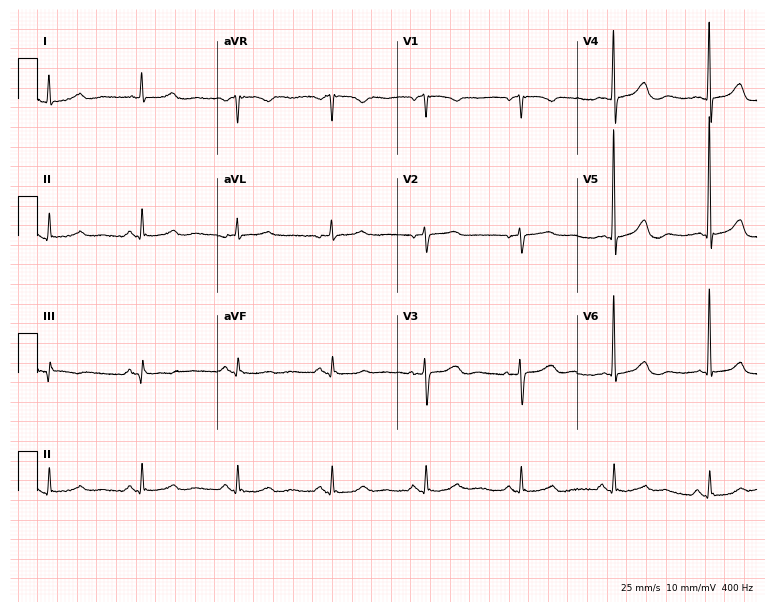
Resting 12-lead electrocardiogram. Patient: an 84-year-old woman. None of these six findings is recorded: first-degree AV block, right bundle branch block (RBBB), left bundle branch block (LBBB), sinus bradycardia, atrial fibrillation (AF), sinus tachycardia. Findings outside these six are not listed.